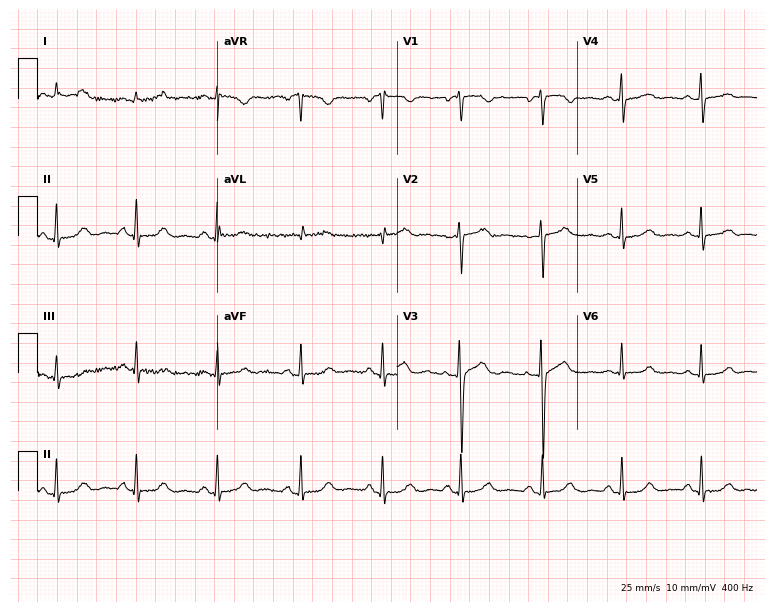
12-lead ECG from a woman, 63 years old (7.3-second recording at 400 Hz). No first-degree AV block, right bundle branch block, left bundle branch block, sinus bradycardia, atrial fibrillation or sinus tachycardia recorded for this tracing. Only these six findings were labelled.